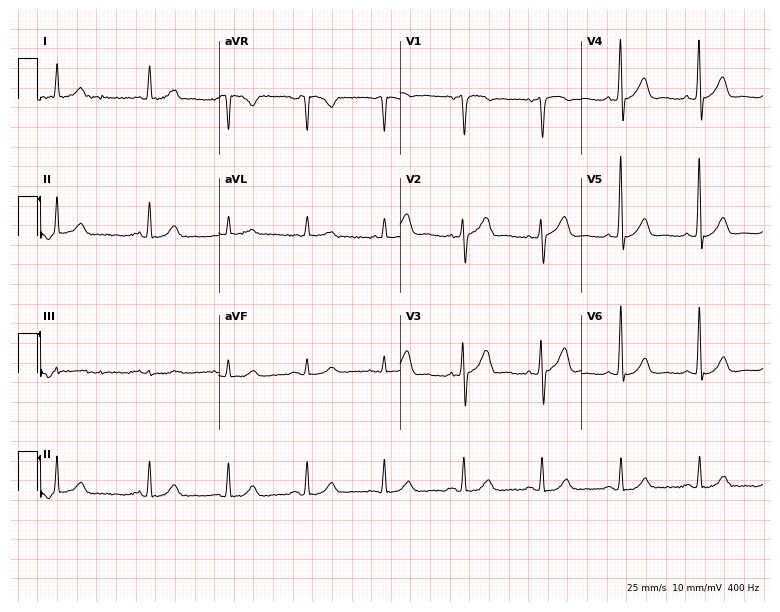
12-lead ECG from a 69-year-old male patient. Recorded interpretation: within normal limits.